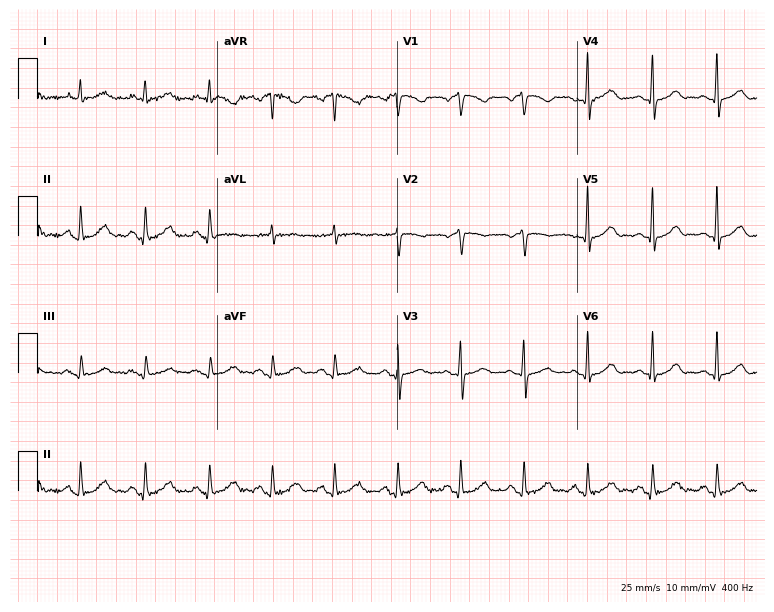
Electrocardiogram, a woman, 60 years old. Overall reading on record: normal ECG.